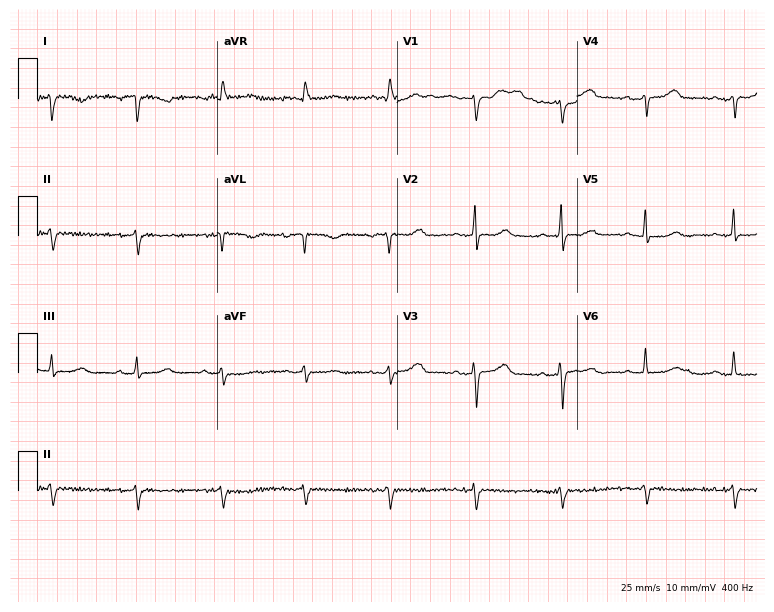
12-lead ECG from a 60-year-old female patient. Screened for six findings — first-degree AV block, right bundle branch block, left bundle branch block, sinus bradycardia, atrial fibrillation, sinus tachycardia — none is recorded.